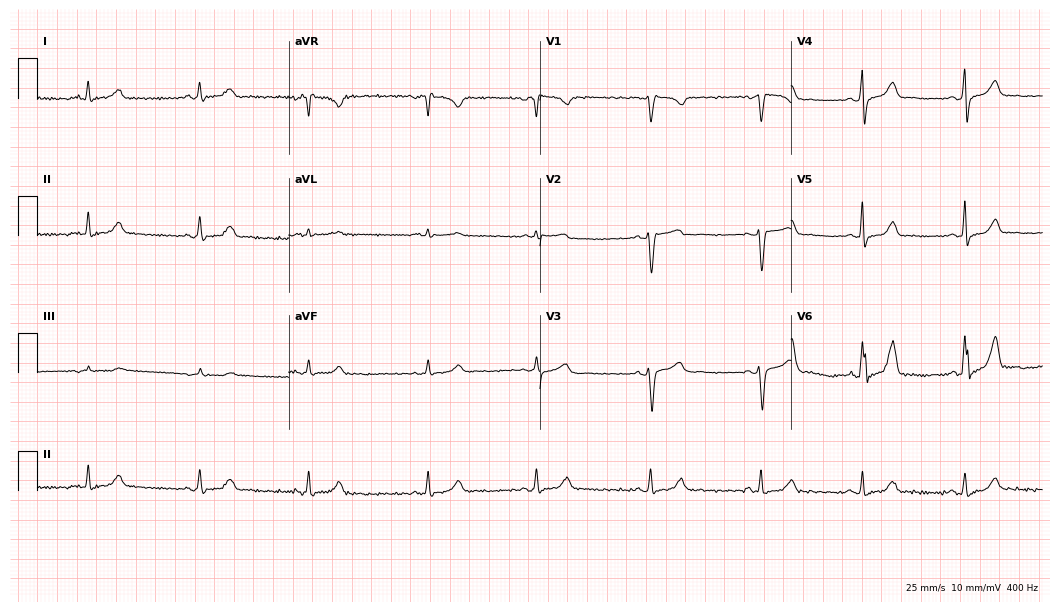
Electrocardiogram, a female, 30 years old. Overall reading on record: normal ECG.